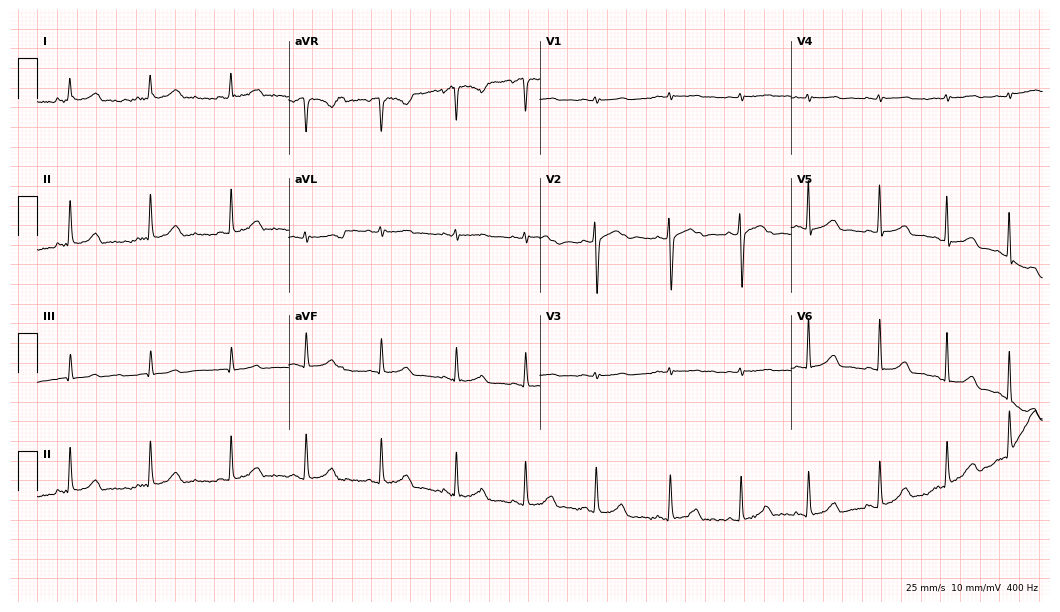
Resting 12-lead electrocardiogram. Patient: a 27-year-old female. None of these six findings is recorded: first-degree AV block, right bundle branch block, left bundle branch block, sinus bradycardia, atrial fibrillation, sinus tachycardia. Other findings, if any, are not listed.